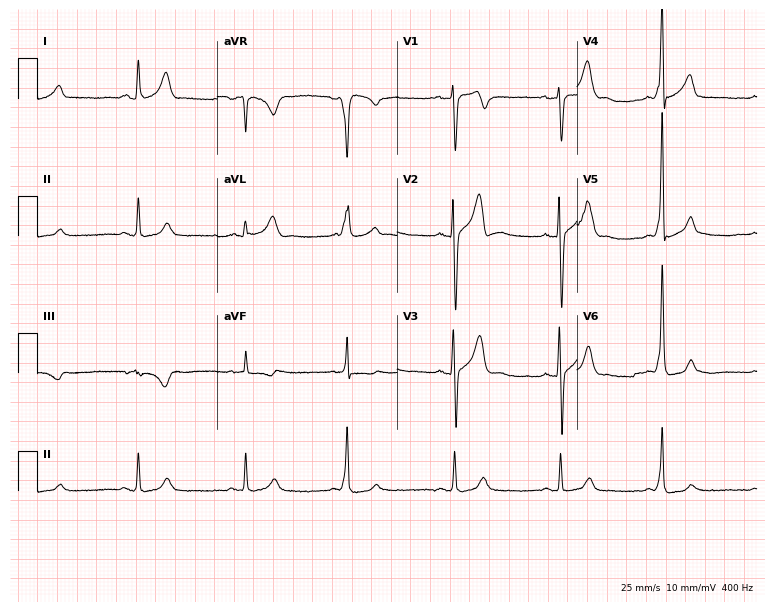
Standard 12-lead ECG recorded from a 32-year-old male patient (7.3-second recording at 400 Hz). Read as a normal ECG.